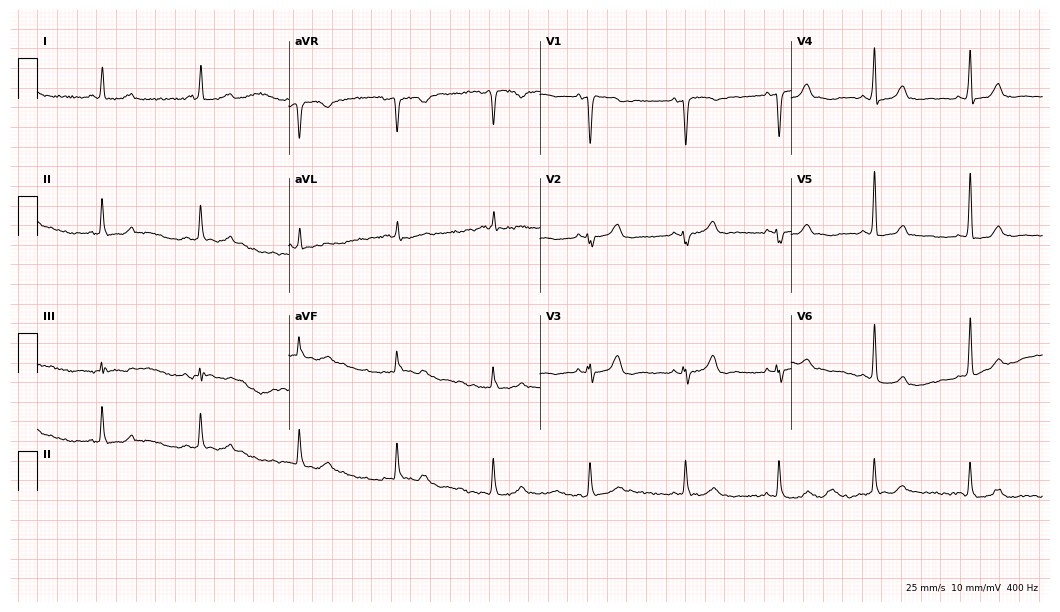
12-lead ECG (10.2-second recording at 400 Hz) from a female patient, 81 years old. Screened for six findings — first-degree AV block, right bundle branch block (RBBB), left bundle branch block (LBBB), sinus bradycardia, atrial fibrillation (AF), sinus tachycardia — none is recorded. Findings outside these six are not listed.